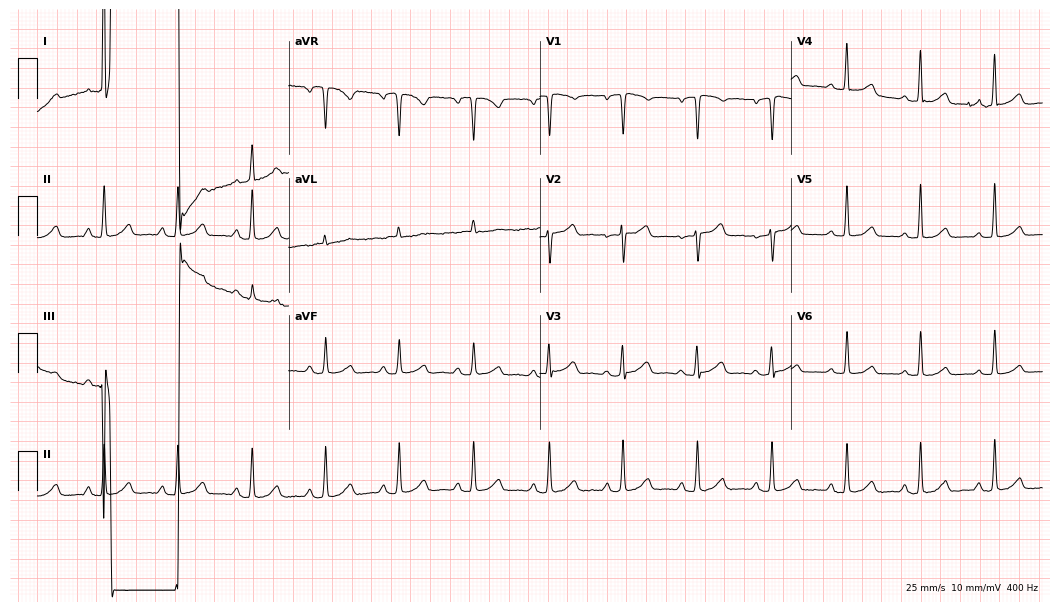
12-lead ECG from a woman, 61 years old. Labelled as a normal ECG.